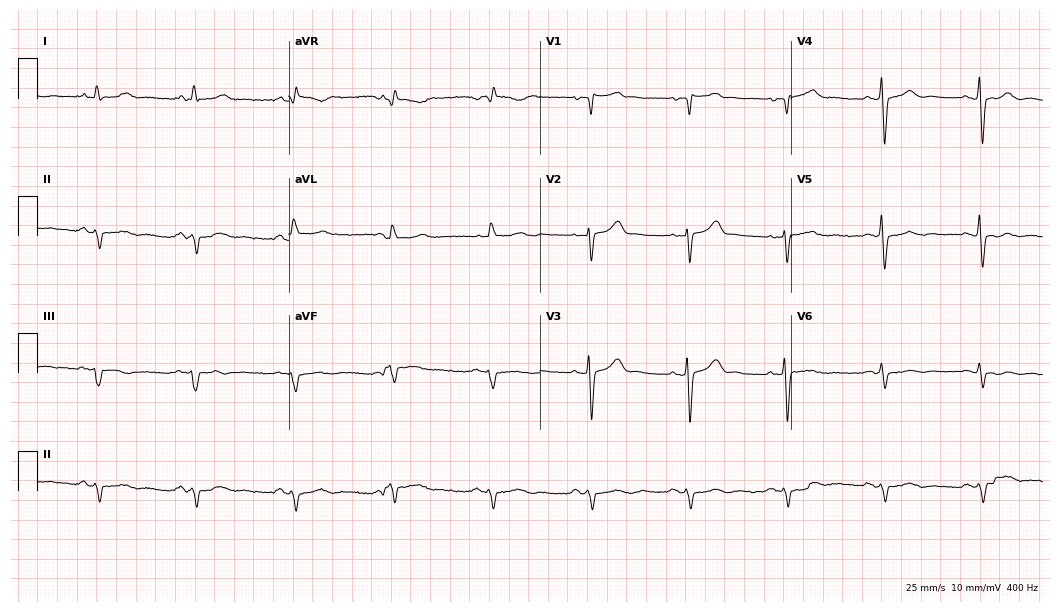
Electrocardiogram (10.2-second recording at 400 Hz), an 81-year-old male patient. Of the six screened findings (first-degree AV block, right bundle branch block, left bundle branch block, sinus bradycardia, atrial fibrillation, sinus tachycardia), none is recorded.